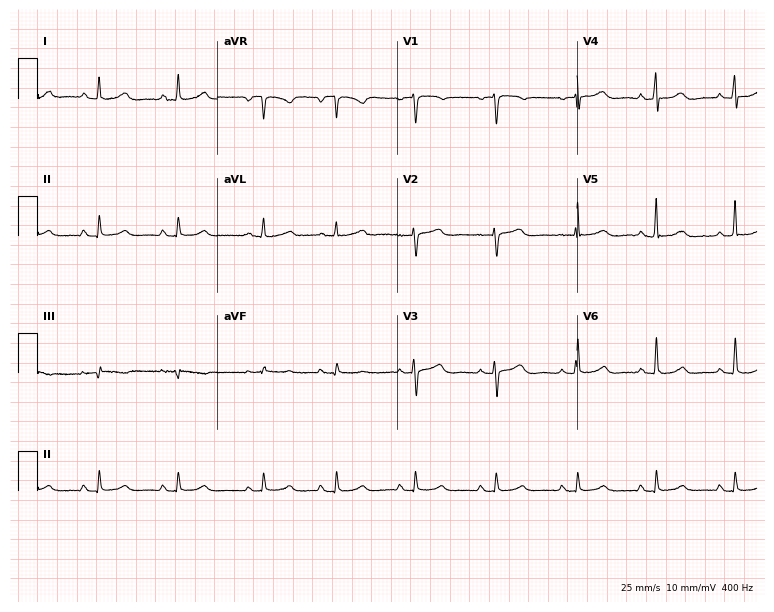
Electrocardiogram (7.3-second recording at 400 Hz), a female patient, 41 years old. Of the six screened findings (first-degree AV block, right bundle branch block (RBBB), left bundle branch block (LBBB), sinus bradycardia, atrial fibrillation (AF), sinus tachycardia), none is recorded.